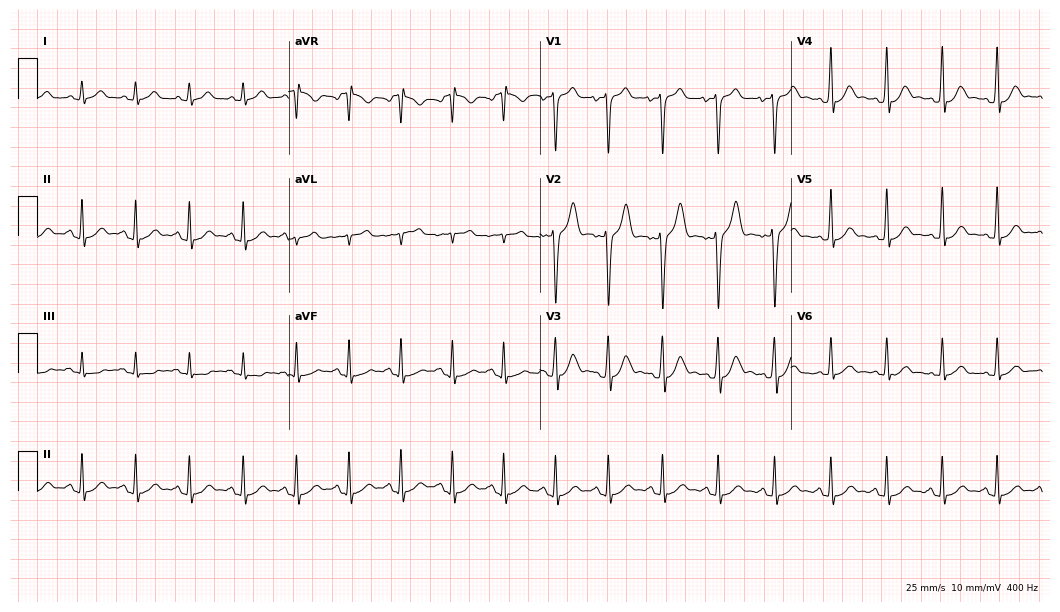
Electrocardiogram (10.2-second recording at 400 Hz), a 23-year-old male. Interpretation includes sinus tachycardia (a sinus rate of 100 beats per minute or more).